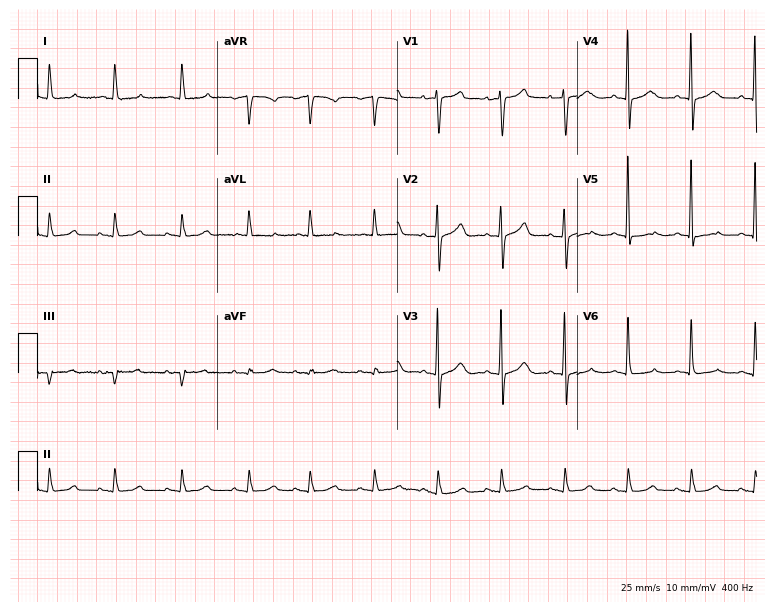
12-lead ECG from a woman, 62 years old (7.3-second recording at 400 Hz). Recorded interpretation: within normal limits.